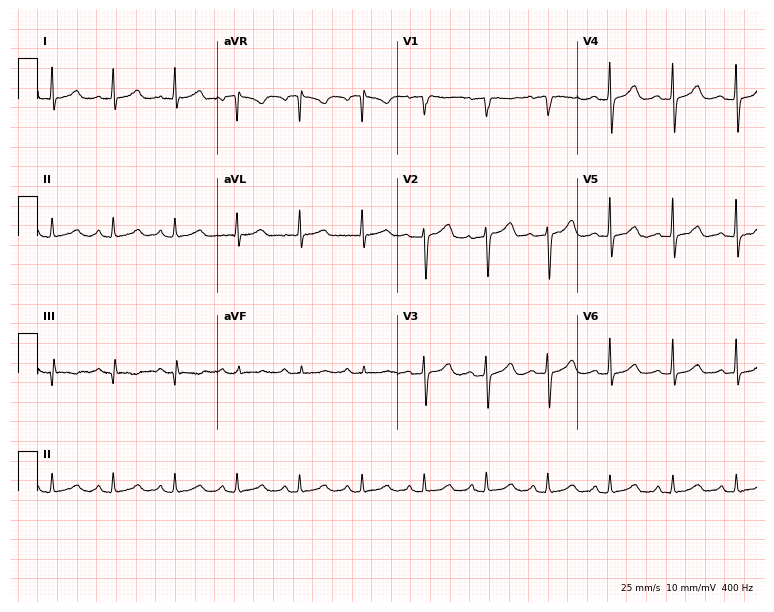
12-lead ECG from a 67-year-old female patient. No first-degree AV block, right bundle branch block, left bundle branch block, sinus bradycardia, atrial fibrillation or sinus tachycardia recorded for this tracing. Findings outside these six are not listed.